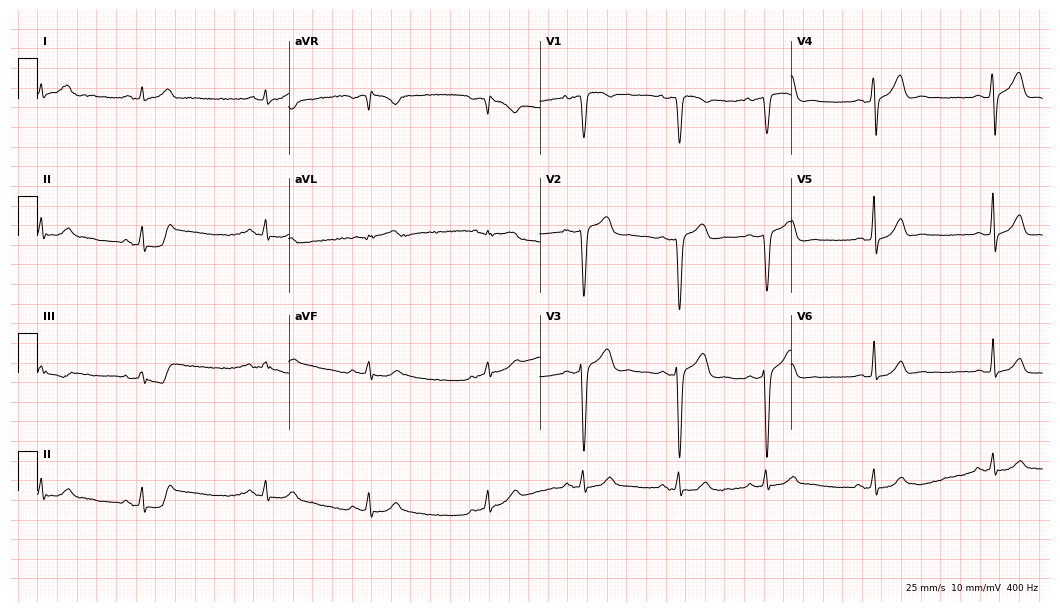
ECG — a man, 28 years old. Labelled as a normal ECG.